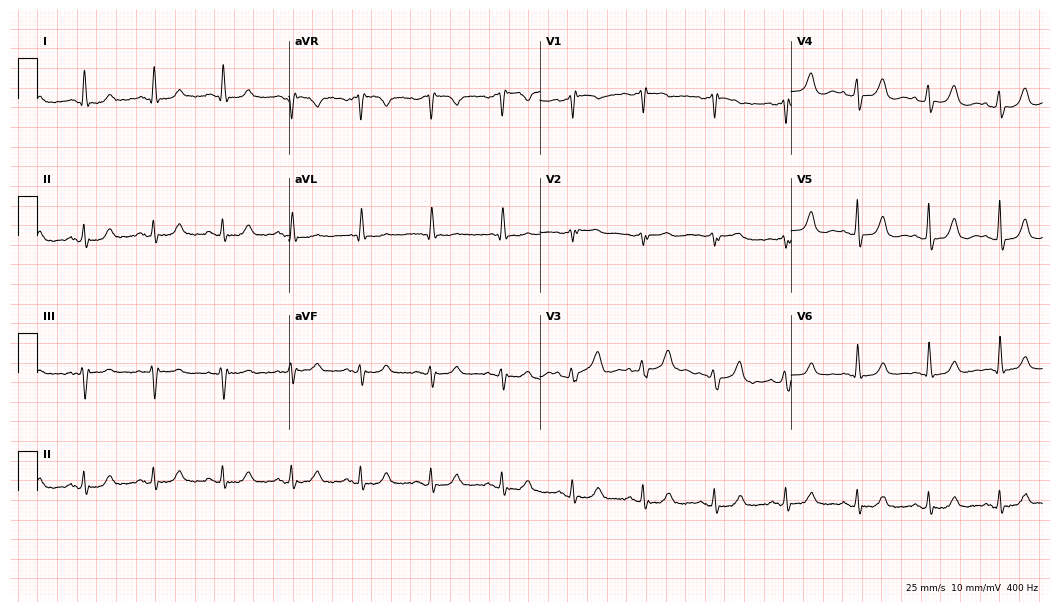
ECG — a female patient, 70 years old. Labelled as a normal ECG.